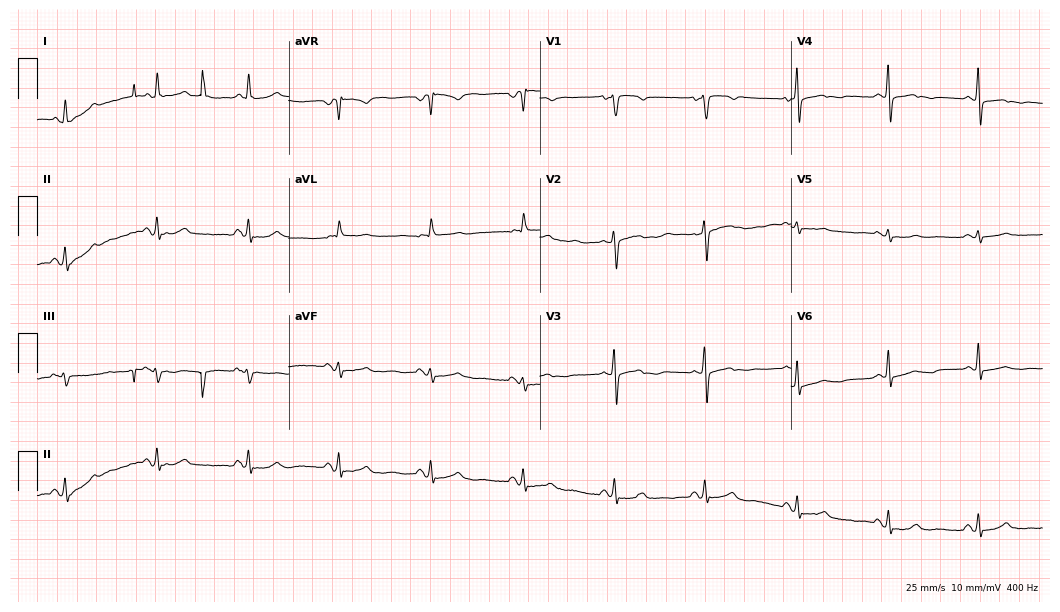
ECG (10.2-second recording at 400 Hz) — a woman, 77 years old. Screened for six findings — first-degree AV block, right bundle branch block (RBBB), left bundle branch block (LBBB), sinus bradycardia, atrial fibrillation (AF), sinus tachycardia — none is recorded. Findings outside these six are not listed.